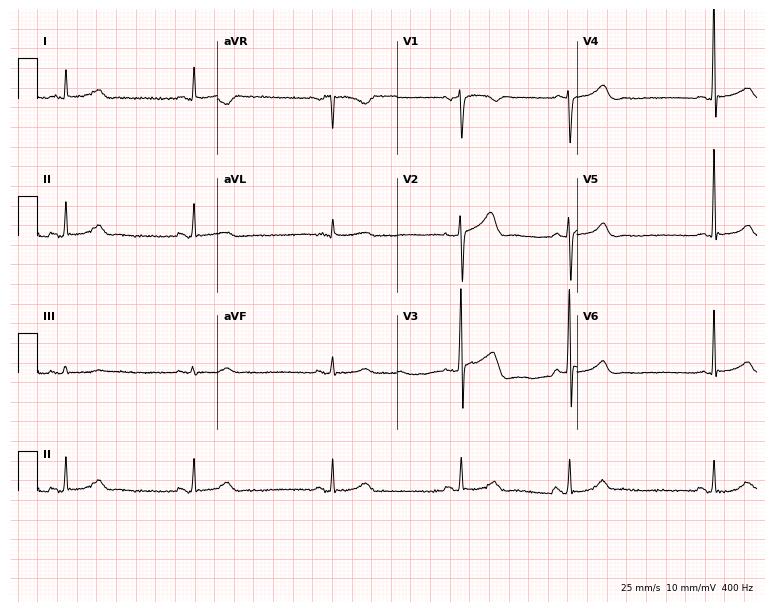
12-lead ECG (7.3-second recording at 400 Hz) from a 67-year-old man. Screened for six findings — first-degree AV block, right bundle branch block, left bundle branch block, sinus bradycardia, atrial fibrillation, sinus tachycardia — none is recorded.